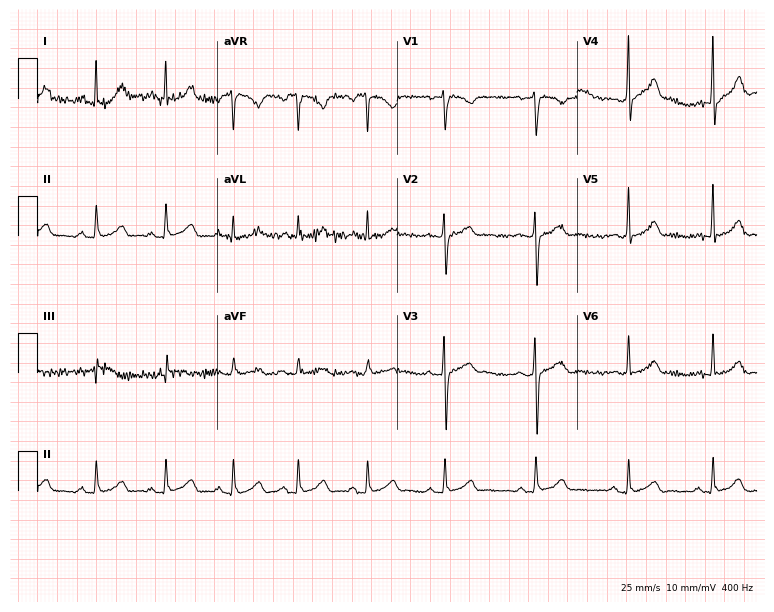
12-lead ECG from a female patient, 25 years old. Labelled as a normal ECG.